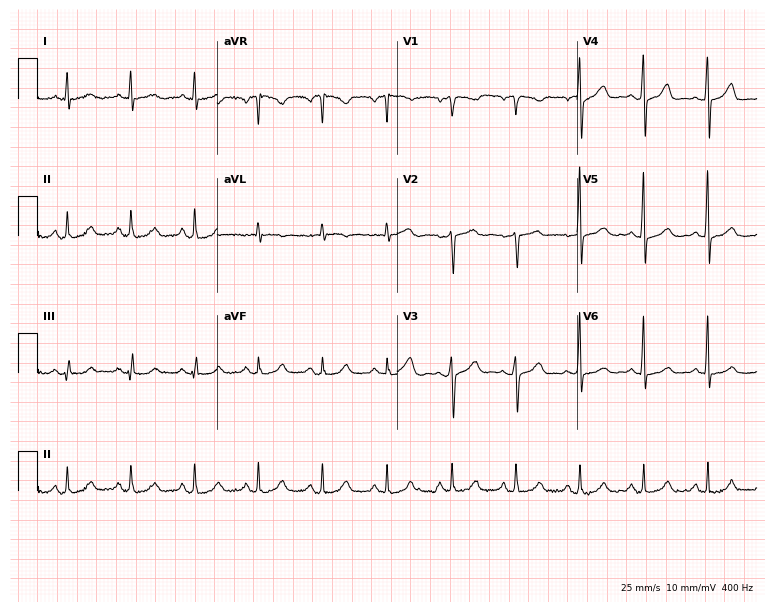
12-lead ECG (7.3-second recording at 400 Hz) from a female patient, 55 years old. Labelled as a normal ECG.